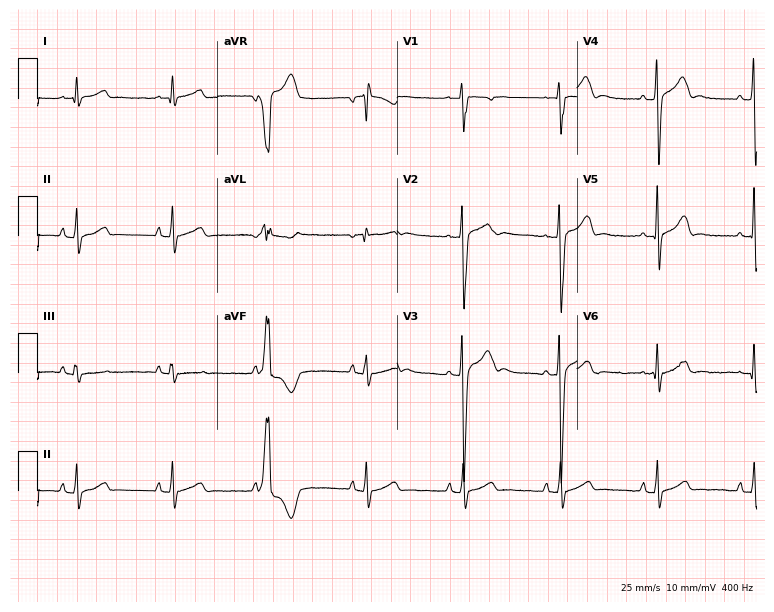
12-lead ECG (7.3-second recording at 400 Hz) from a 27-year-old man. Screened for six findings — first-degree AV block, right bundle branch block, left bundle branch block, sinus bradycardia, atrial fibrillation, sinus tachycardia — none is recorded.